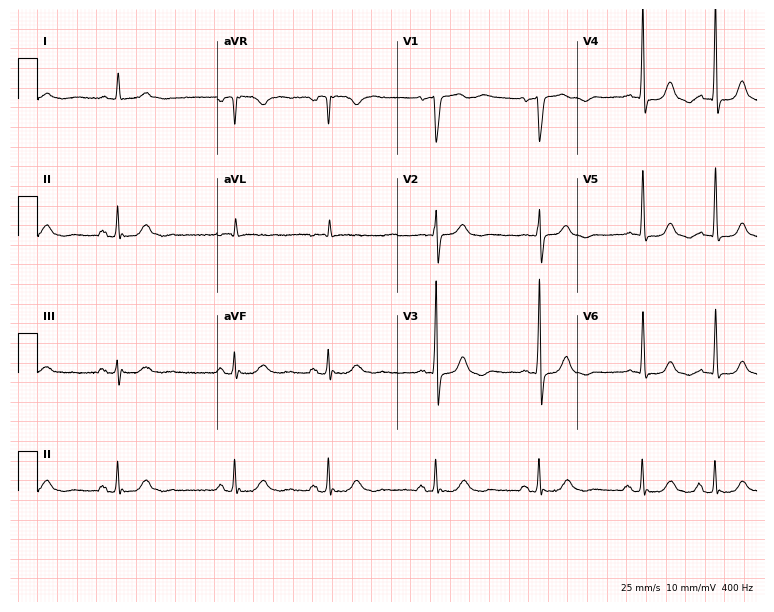
12-lead ECG from an 84-year-old male patient. No first-degree AV block, right bundle branch block, left bundle branch block, sinus bradycardia, atrial fibrillation or sinus tachycardia recorded for this tracing. Other findings, if any, are not listed.